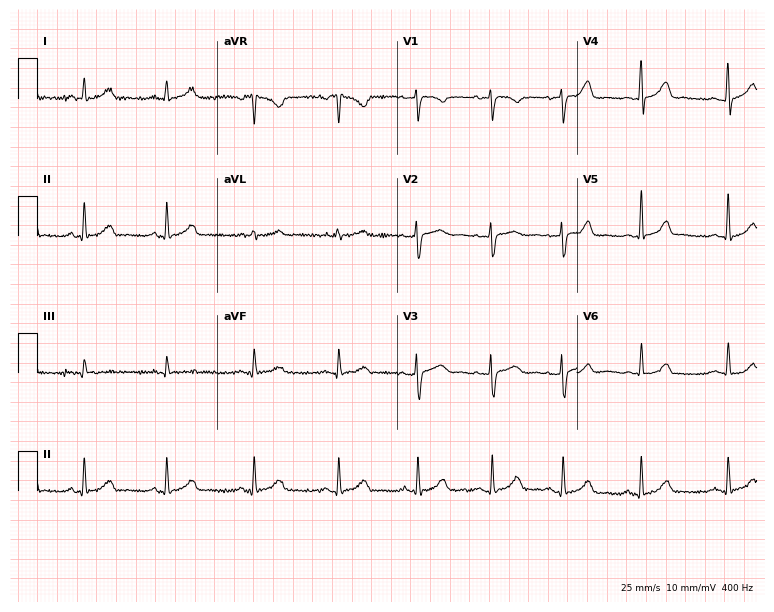
12-lead ECG (7.3-second recording at 400 Hz) from a female, 30 years old. Labelled as a normal ECG.